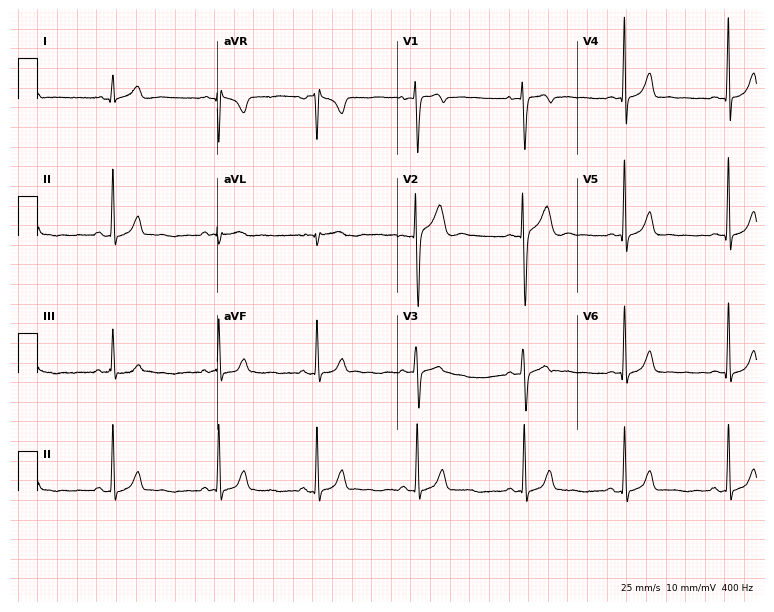
Standard 12-lead ECG recorded from a 20-year-old male (7.3-second recording at 400 Hz). Read as a normal ECG.